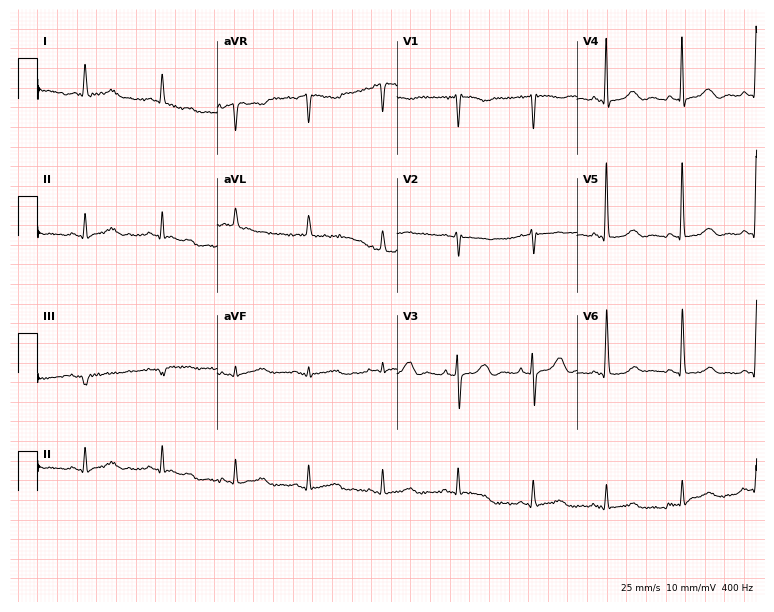
Electrocardiogram, a 75-year-old woman. Of the six screened findings (first-degree AV block, right bundle branch block (RBBB), left bundle branch block (LBBB), sinus bradycardia, atrial fibrillation (AF), sinus tachycardia), none is recorded.